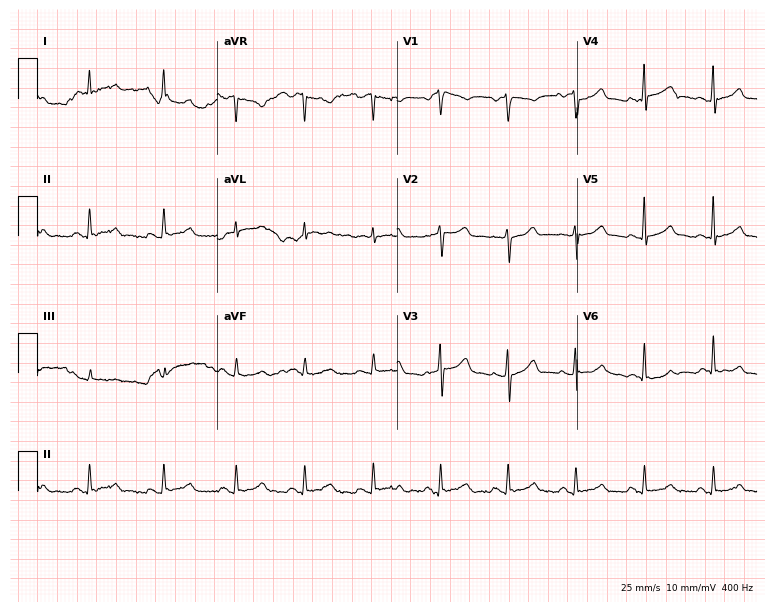
ECG (7.3-second recording at 400 Hz) — a 46-year-old man. Labelled as a normal ECG.